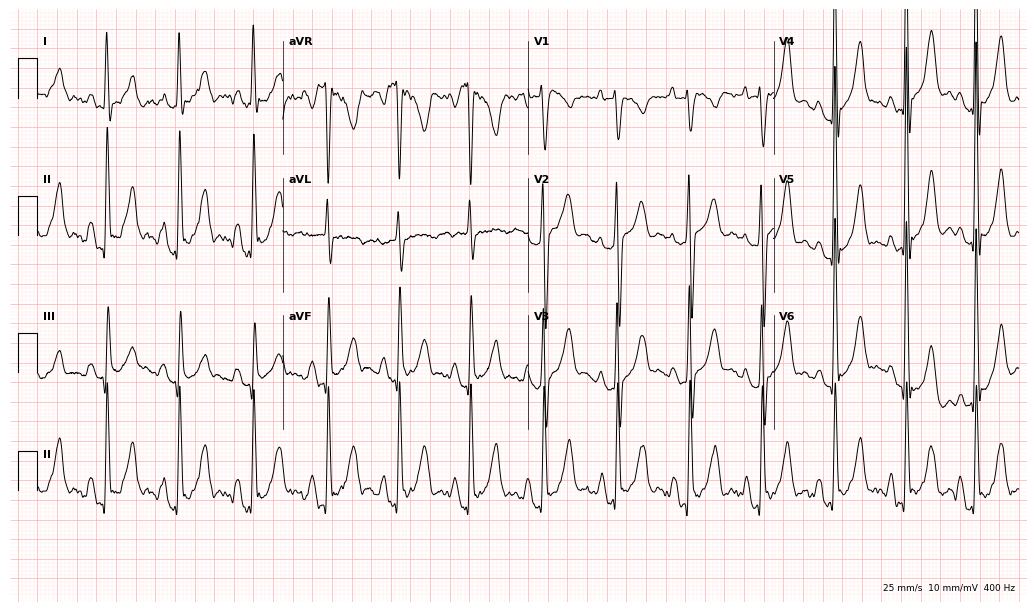
Resting 12-lead electrocardiogram (10-second recording at 400 Hz). Patient: a 62-year-old female. None of these six findings is recorded: first-degree AV block, right bundle branch block (RBBB), left bundle branch block (LBBB), sinus bradycardia, atrial fibrillation (AF), sinus tachycardia. Findings outside these six are not listed.